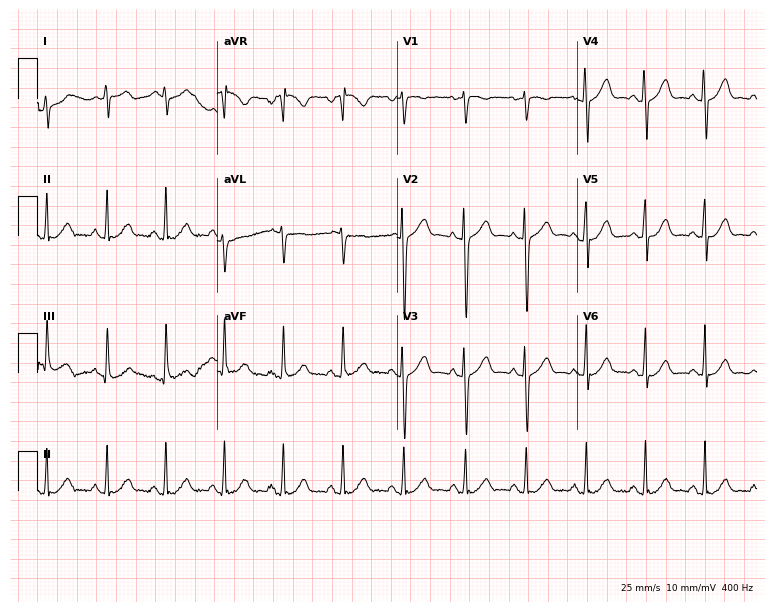
Standard 12-lead ECG recorded from a woman, 27 years old (7.3-second recording at 400 Hz). None of these six findings is recorded: first-degree AV block, right bundle branch block, left bundle branch block, sinus bradycardia, atrial fibrillation, sinus tachycardia. Findings outside these six are not listed.